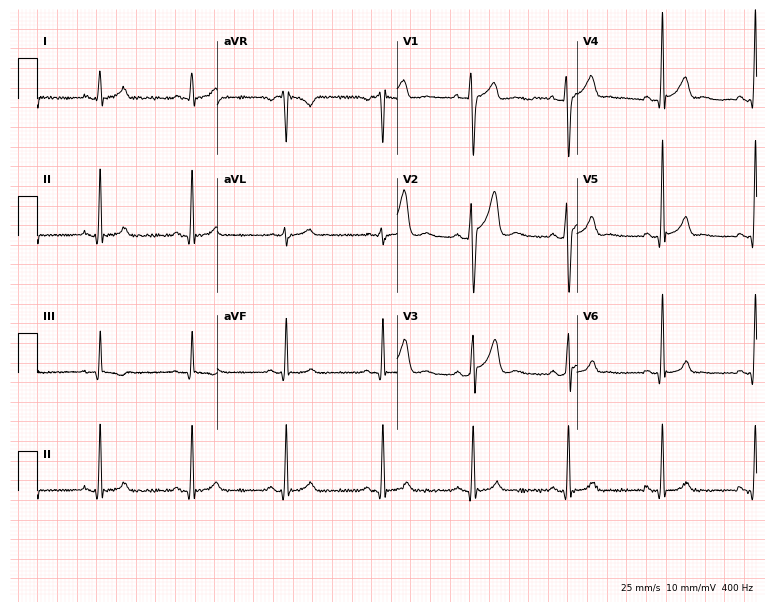
ECG (7.3-second recording at 400 Hz) — a male patient, 21 years old. Labelled as a normal ECG.